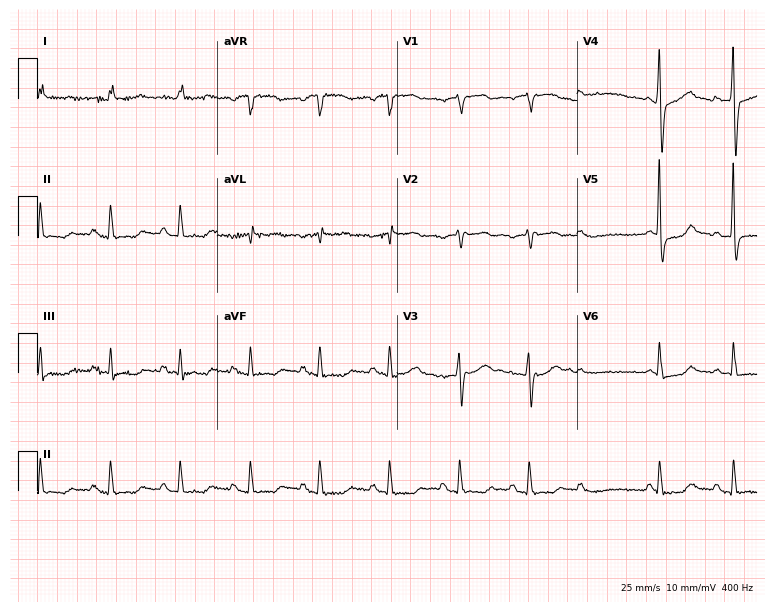
Electrocardiogram (7.3-second recording at 400 Hz), an 85-year-old woman. Of the six screened findings (first-degree AV block, right bundle branch block, left bundle branch block, sinus bradycardia, atrial fibrillation, sinus tachycardia), none is recorded.